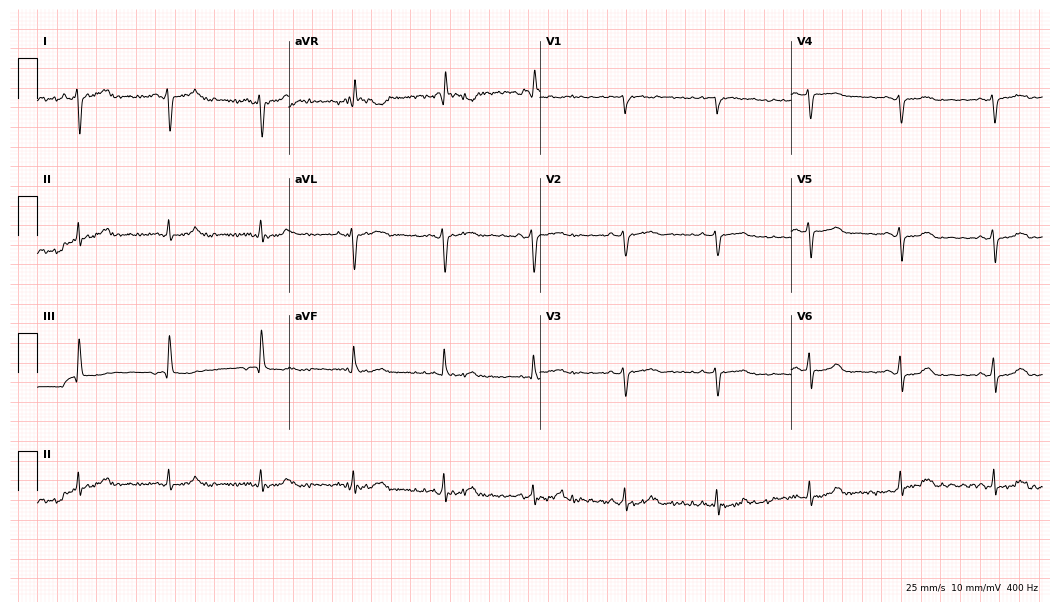
Standard 12-lead ECG recorded from a female patient, 48 years old. None of these six findings is recorded: first-degree AV block, right bundle branch block, left bundle branch block, sinus bradycardia, atrial fibrillation, sinus tachycardia. Other findings, if any, are not listed.